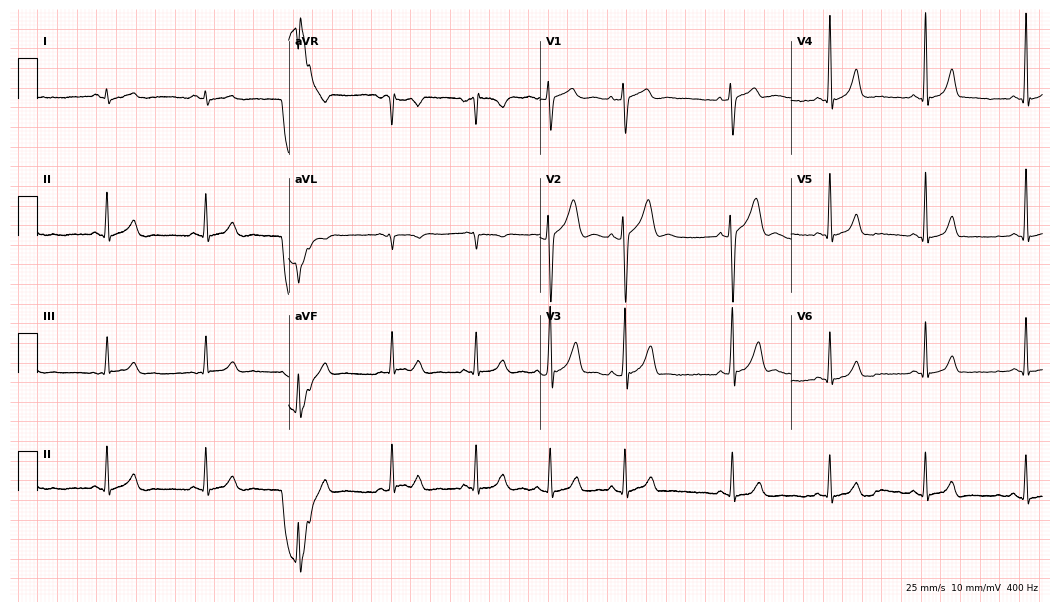
12-lead ECG from a male, 23 years old. Recorded interpretation: within normal limits.